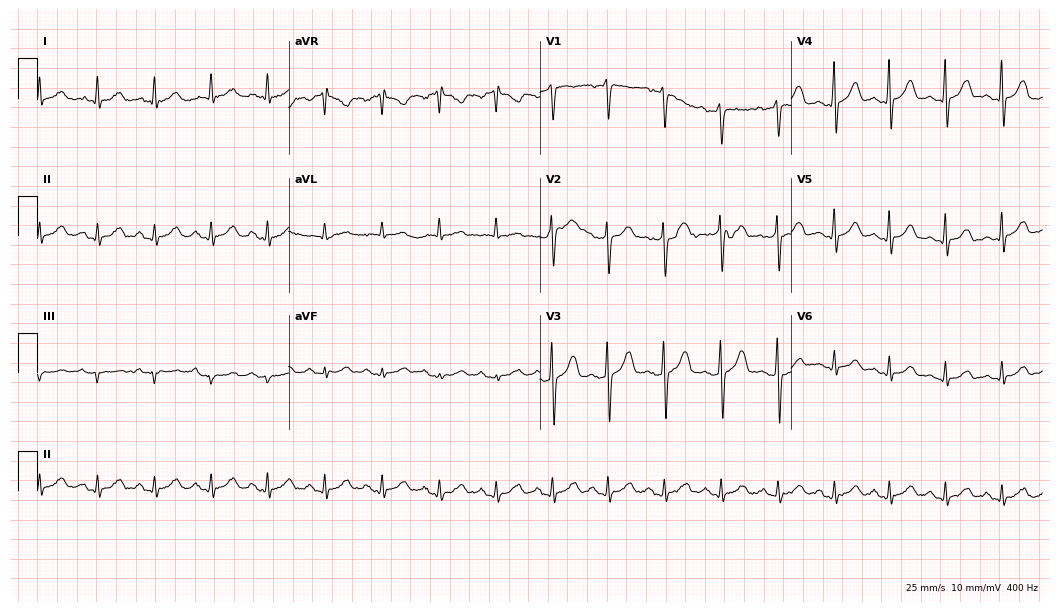
12-lead ECG (10.2-second recording at 400 Hz) from a man, 32 years old. Findings include sinus tachycardia (a sinus rate of 100 beats per minute or more).